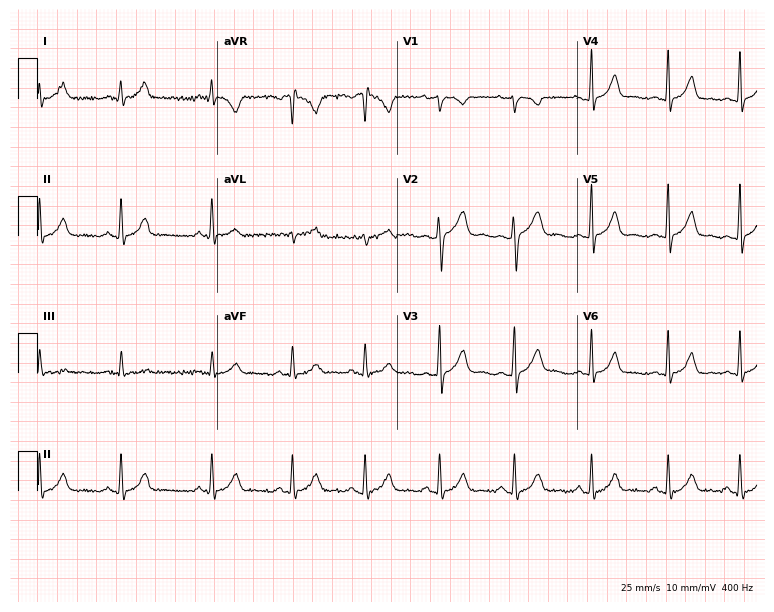
Standard 12-lead ECG recorded from a female patient, 24 years old. None of these six findings is recorded: first-degree AV block, right bundle branch block, left bundle branch block, sinus bradycardia, atrial fibrillation, sinus tachycardia. Other findings, if any, are not listed.